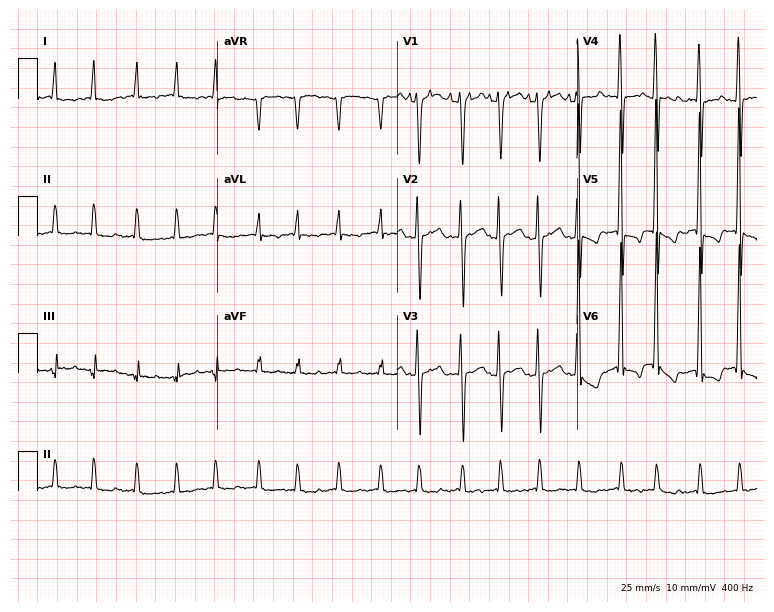
Resting 12-lead electrocardiogram (7.3-second recording at 400 Hz). Patient: a 72-year-old male. None of these six findings is recorded: first-degree AV block, right bundle branch block (RBBB), left bundle branch block (LBBB), sinus bradycardia, atrial fibrillation (AF), sinus tachycardia.